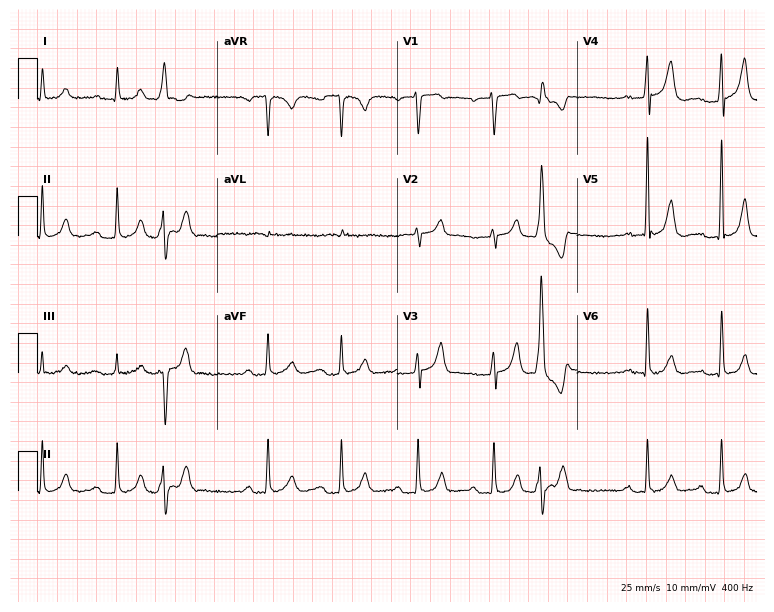
12-lead ECG from a male patient, 79 years old. Findings include first-degree AV block.